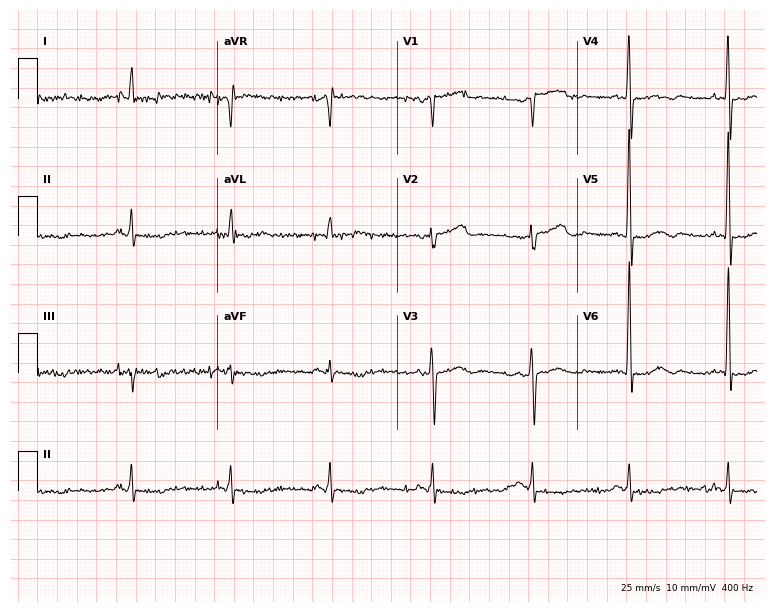
Resting 12-lead electrocardiogram (7.3-second recording at 400 Hz). Patient: a 63-year-old male. None of these six findings is recorded: first-degree AV block, right bundle branch block, left bundle branch block, sinus bradycardia, atrial fibrillation, sinus tachycardia. Findings outside these six are not listed.